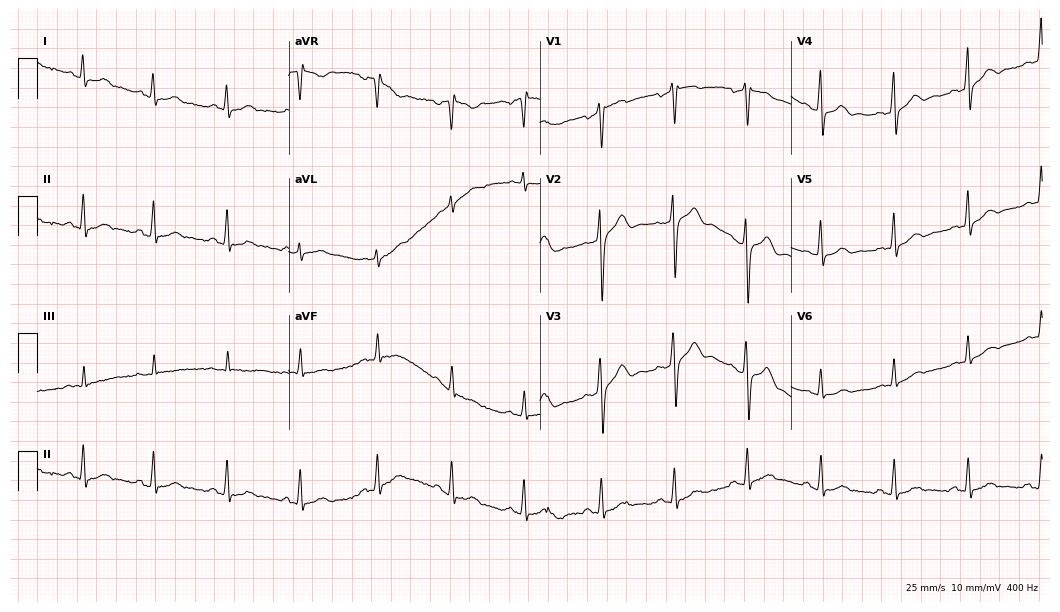
ECG (10.2-second recording at 400 Hz) — a 49-year-old male. Screened for six findings — first-degree AV block, right bundle branch block, left bundle branch block, sinus bradycardia, atrial fibrillation, sinus tachycardia — none is recorded. Only these six findings were labelled.